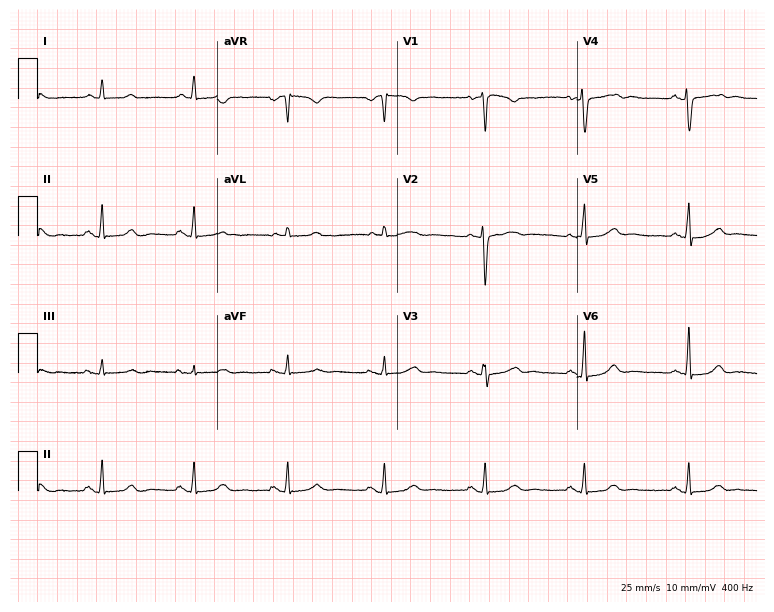
Resting 12-lead electrocardiogram (7.3-second recording at 400 Hz). Patient: a female, 51 years old. Read as a normal ECG.